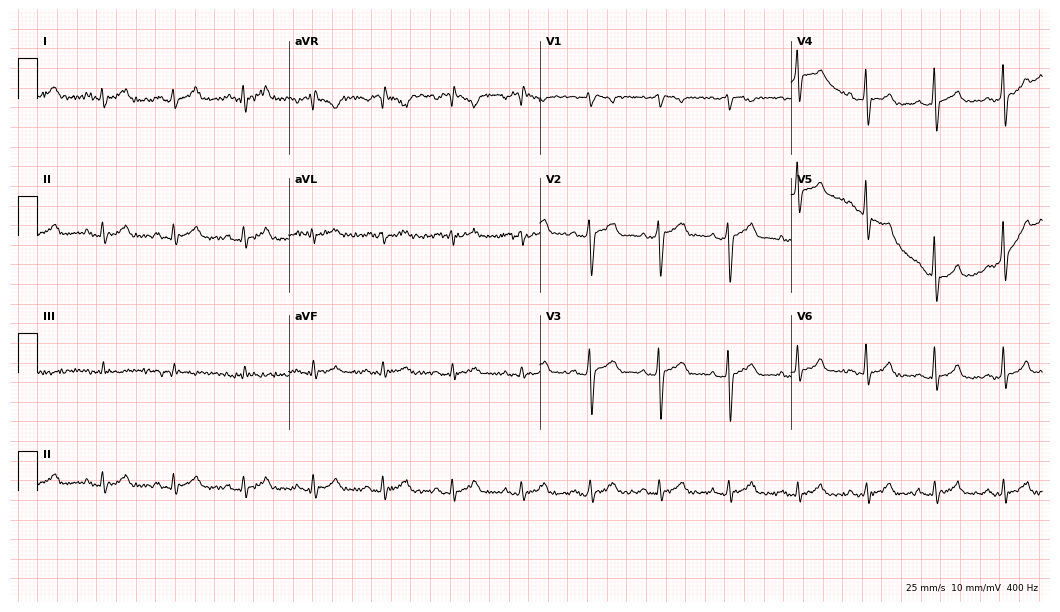
ECG — a male, 56 years old. Labelled as a normal ECG.